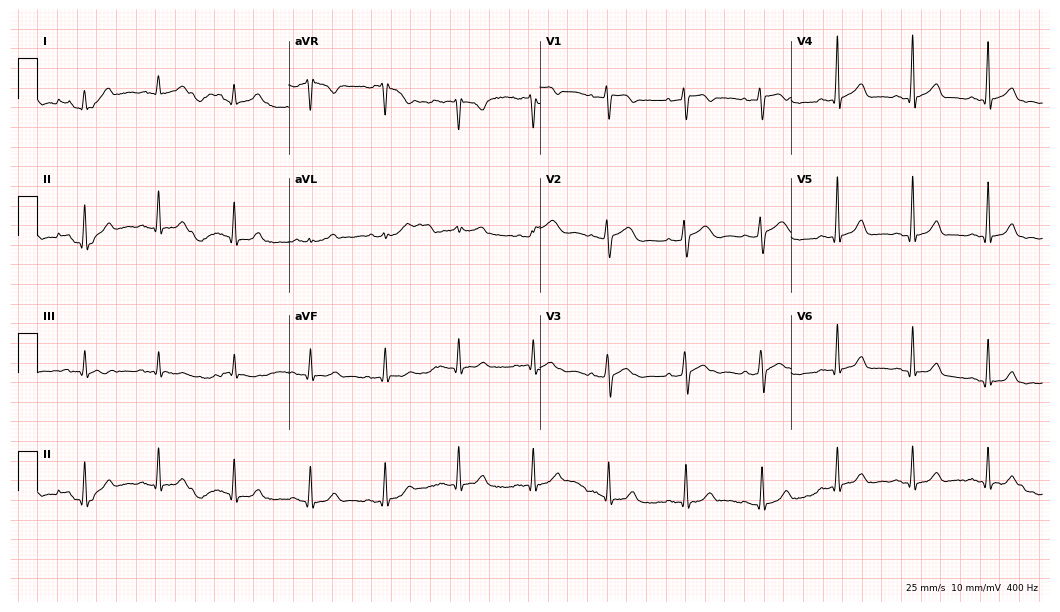
Resting 12-lead electrocardiogram. Patient: a woman, 44 years old. Read as a normal ECG.